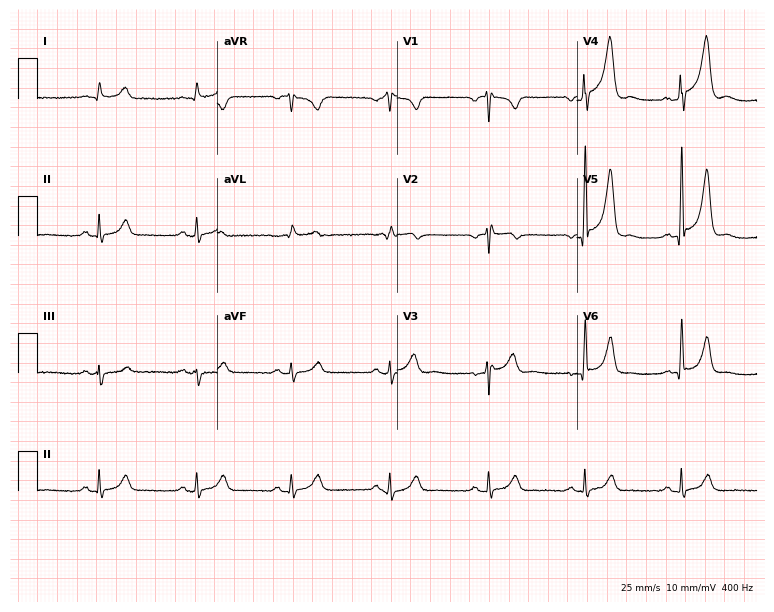
Standard 12-lead ECG recorded from a 59-year-old man (7.3-second recording at 400 Hz). None of these six findings is recorded: first-degree AV block, right bundle branch block (RBBB), left bundle branch block (LBBB), sinus bradycardia, atrial fibrillation (AF), sinus tachycardia. Other findings, if any, are not listed.